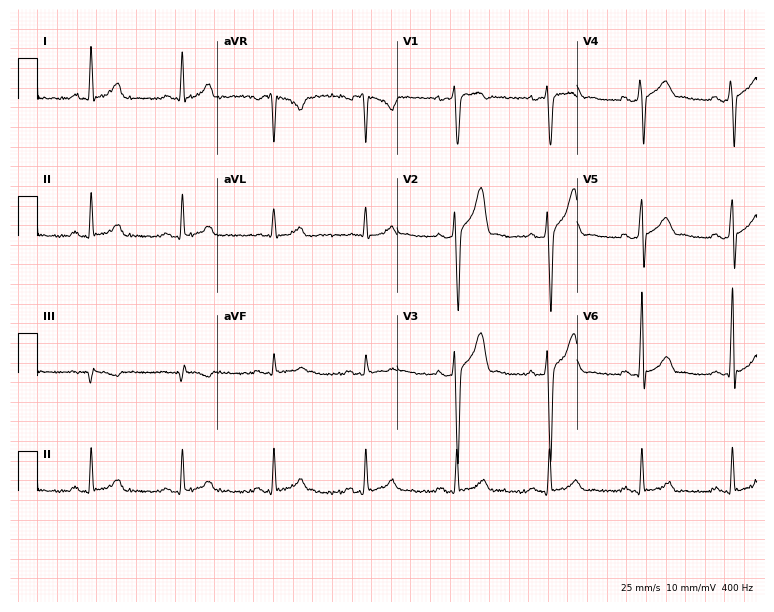
Resting 12-lead electrocardiogram (7.3-second recording at 400 Hz). Patient: a 38-year-old female. None of these six findings is recorded: first-degree AV block, right bundle branch block, left bundle branch block, sinus bradycardia, atrial fibrillation, sinus tachycardia. Findings outside these six are not listed.